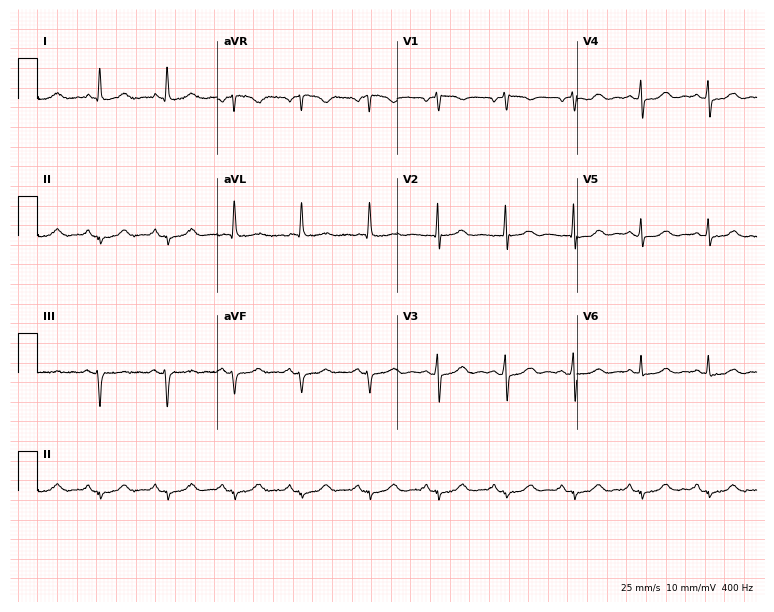
Resting 12-lead electrocardiogram. Patient: a 70-year-old male. None of these six findings is recorded: first-degree AV block, right bundle branch block, left bundle branch block, sinus bradycardia, atrial fibrillation, sinus tachycardia.